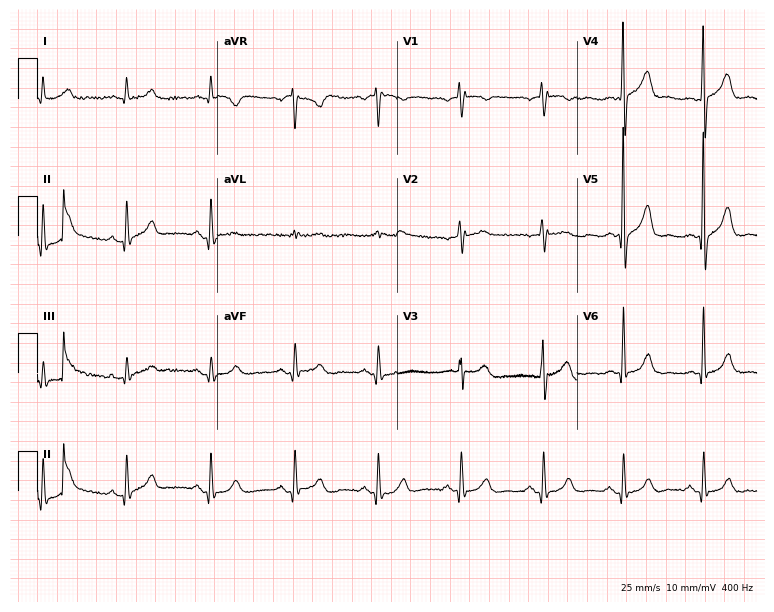
ECG (7.3-second recording at 400 Hz) — a male patient, 64 years old. Screened for six findings — first-degree AV block, right bundle branch block (RBBB), left bundle branch block (LBBB), sinus bradycardia, atrial fibrillation (AF), sinus tachycardia — none is recorded. Other findings, if any, are not listed.